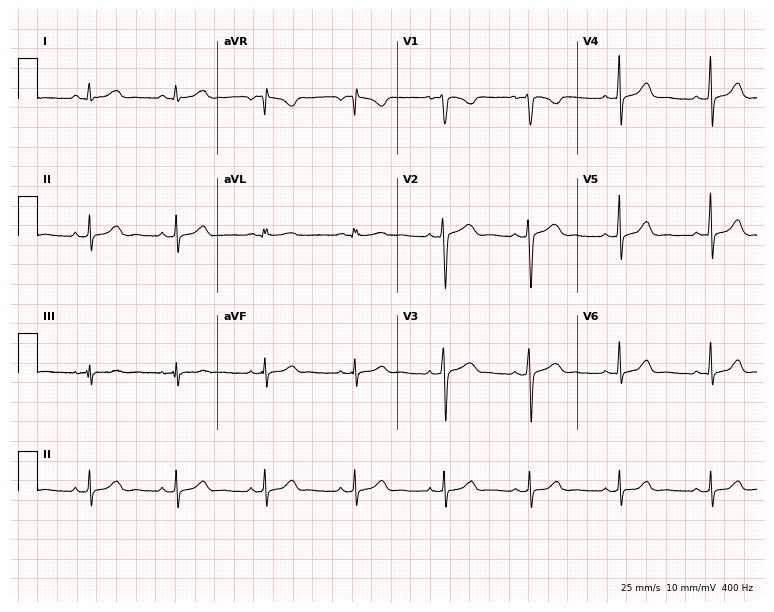
Standard 12-lead ECG recorded from a female, 30 years old (7.3-second recording at 400 Hz). Read as a normal ECG.